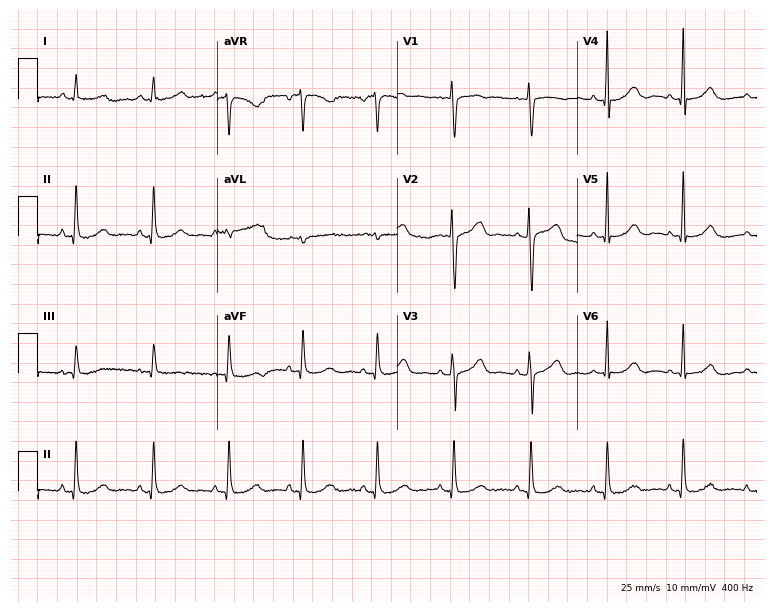
Standard 12-lead ECG recorded from a 47-year-old female patient (7.3-second recording at 400 Hz). Read as a normal ECG.